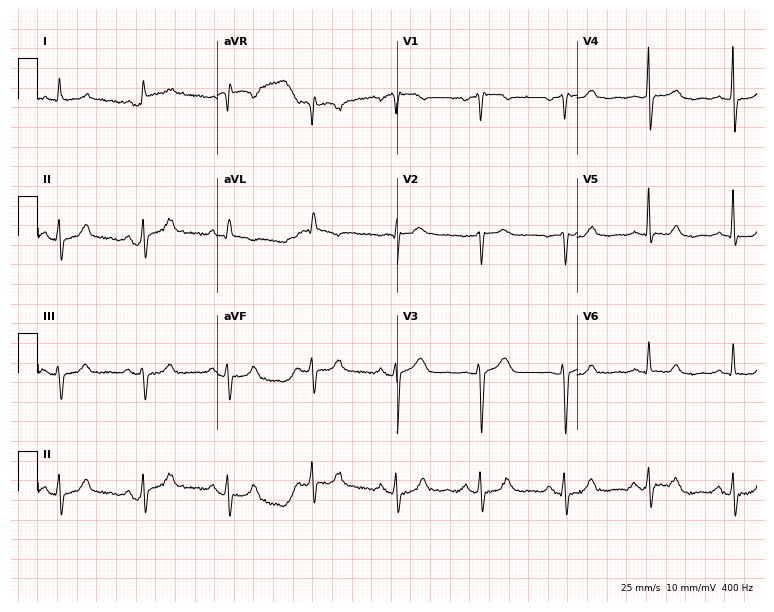
Standard 12-lead ECG recorded from a man, 85 years old. None of these six findings is recorded: first-degree AV block, right bundle branch block (RBBB), left bundle branch block (LBBB), sinus bradycardia, atrial fibrillation (AF), sinus tachycardia.